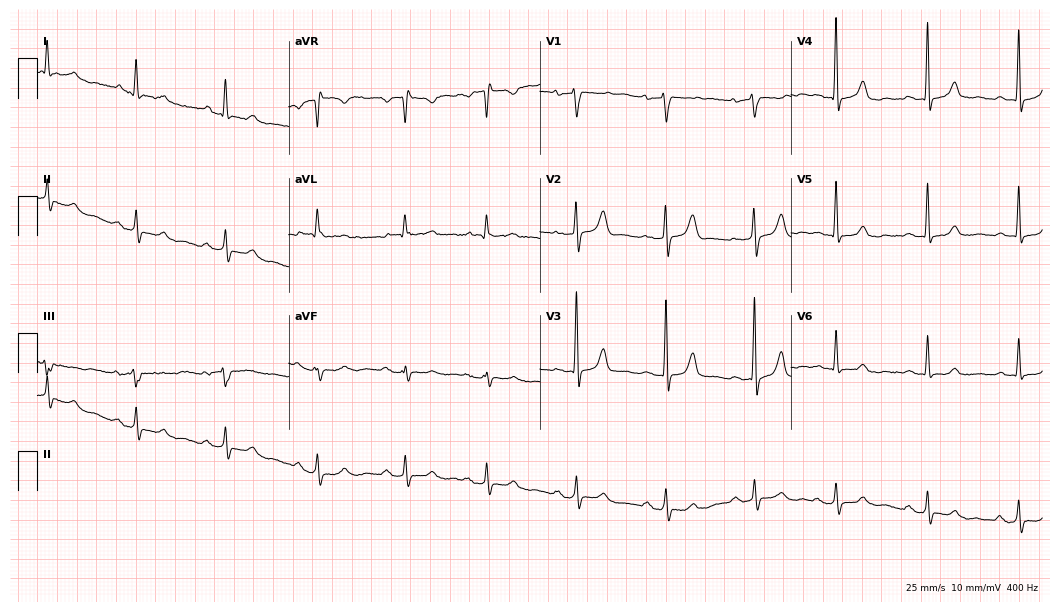
Standard 12-lead ECG recorded from a female, 57 years old (10.2-second recording at 400 Hz). Read as a normal ECG.